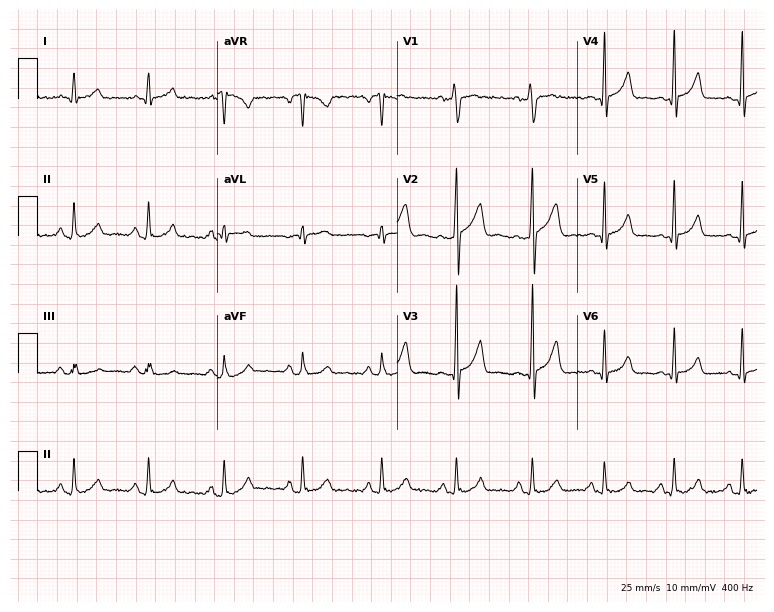
ECG — a male patient, 24 years old. Labelled as a normal ECG.